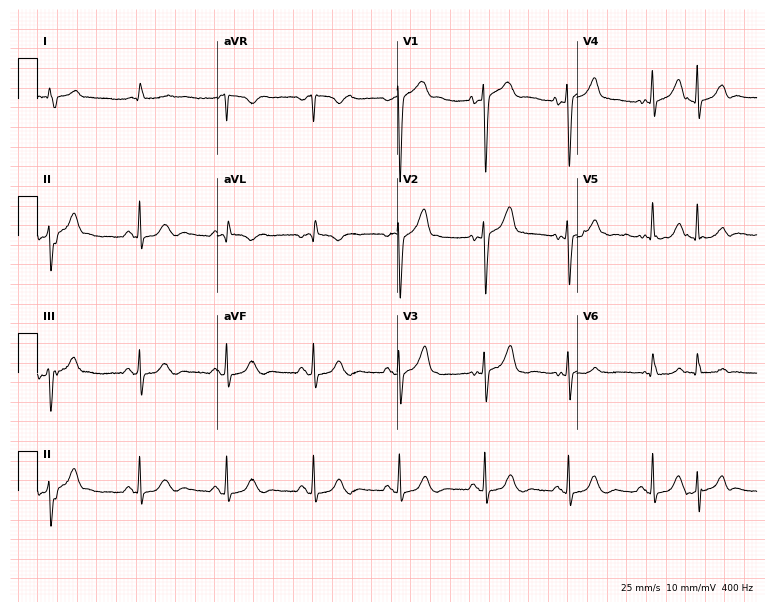
12-lead ECG from an 82-year-old male. Screened for six findings — first-degree AV block, right bundle branch block, left bundle branch block, sinus bradycardia, atrial fibrillation, sinus tachycardia — none is recorded.